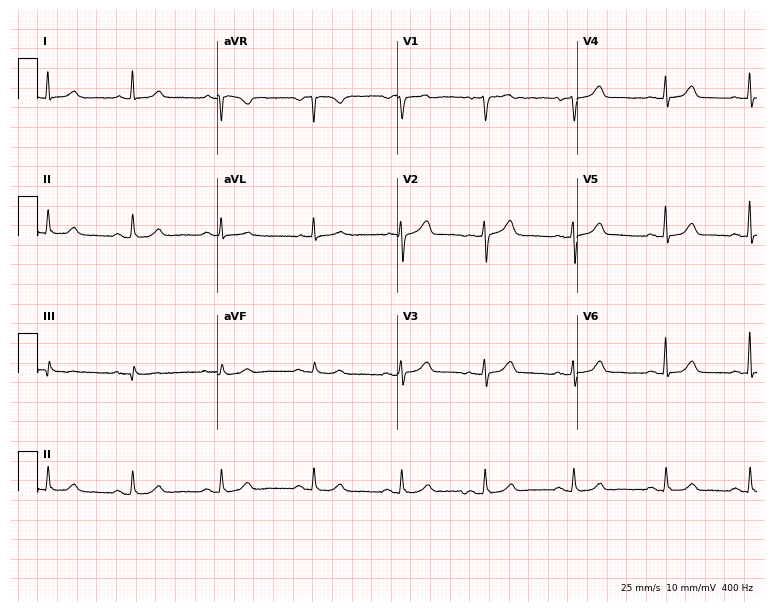
12-lead ECG from a man, 58 years old. Labelled as a normal ECG.